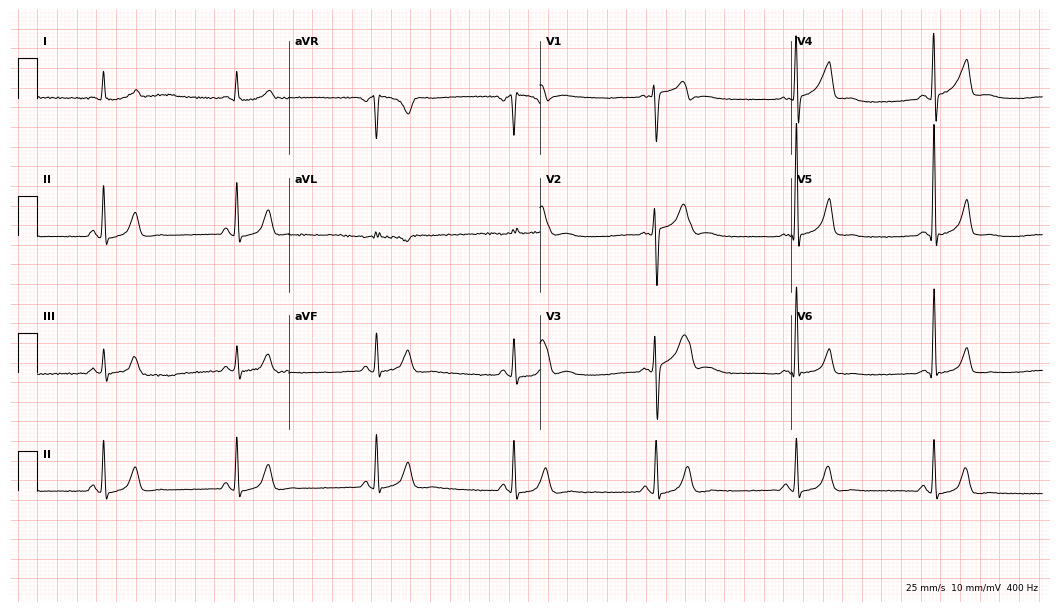
Resting 12-lead electrocardiogram. Patient: a male, 51 years old. None of these six findings is recorded: first-degree AV block, right bundle branch block, left bundle branch block, sinus bradycardia, atrial fibrillation, sinus tachycardia.